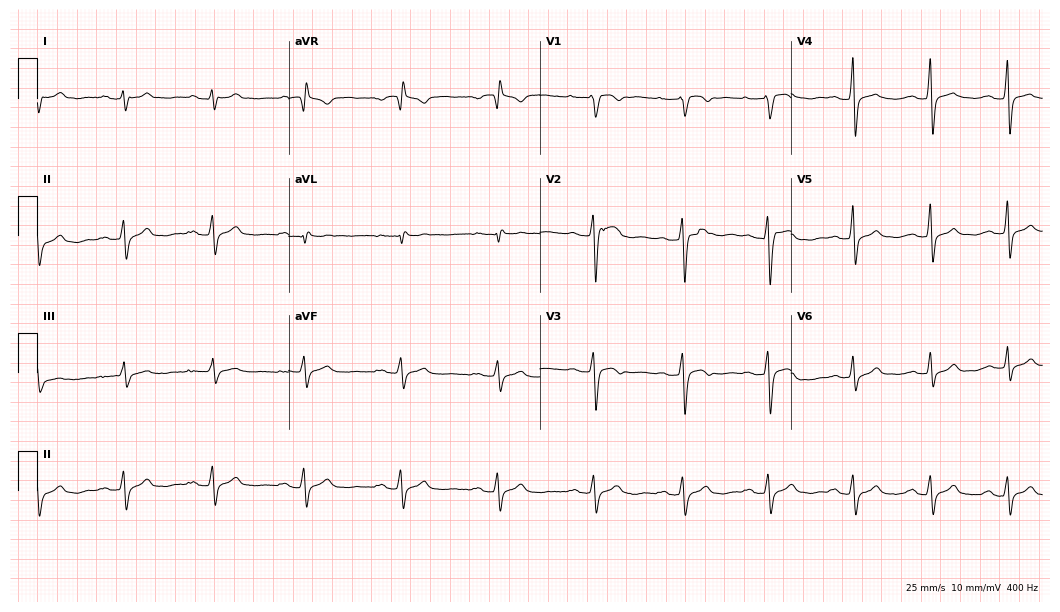
Resting 12-lead electrocardiogram. Patient: a woman, 33 years old. The tracing shows first-degree AV block.